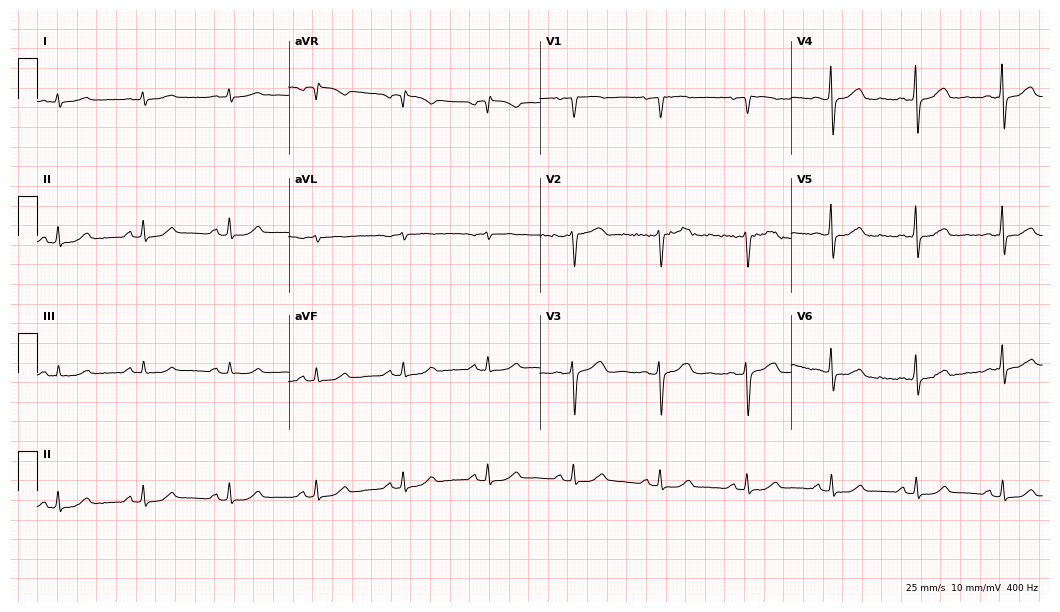
Resting 12-lead electrocardiogram. Patient: a 74-year-old female. Read as a normal ECG.